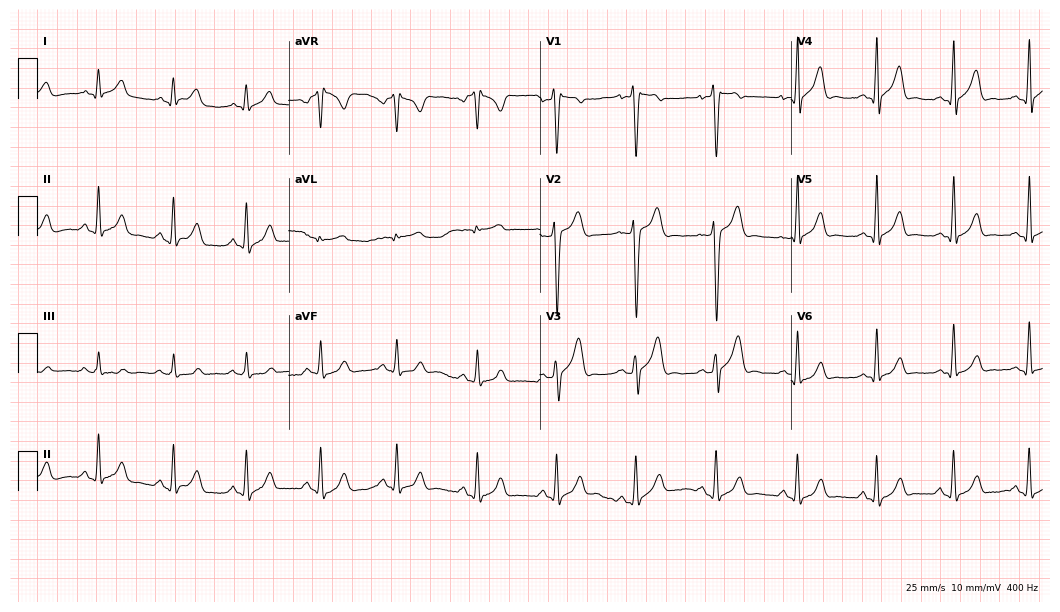
Standard 12-lead ECG recorded from a male, 17 years old (10.2-second recording at 400 Hz). Read as a normal ECG.